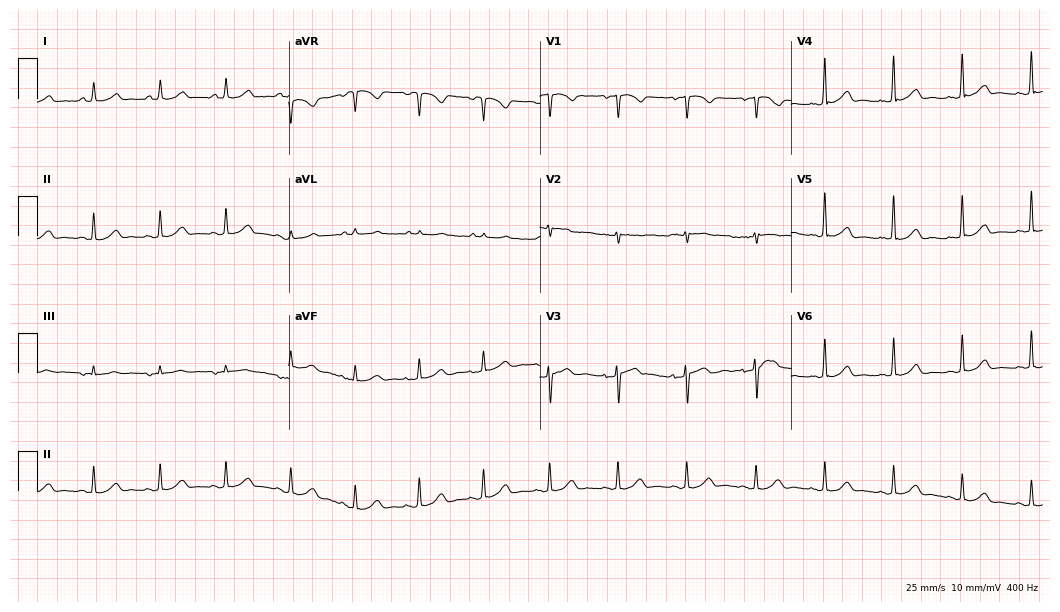
12-lead ECG from a 79-year-old woman. Labelled as a normal ECG.